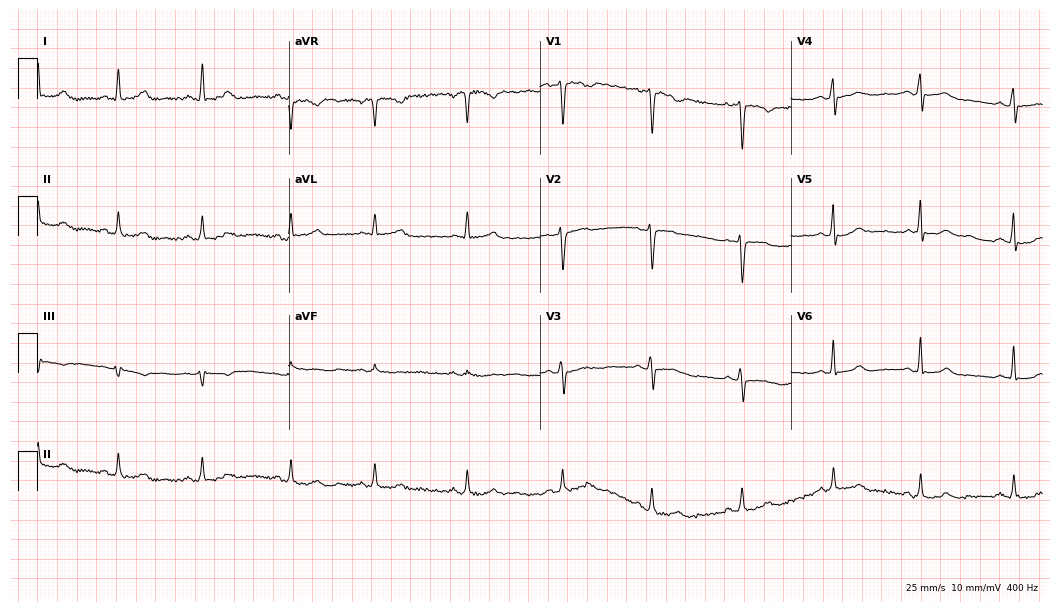
Resting 12-lead electrocardiogram. Patient: a woman, 28 years old. Read as a normal ECG.